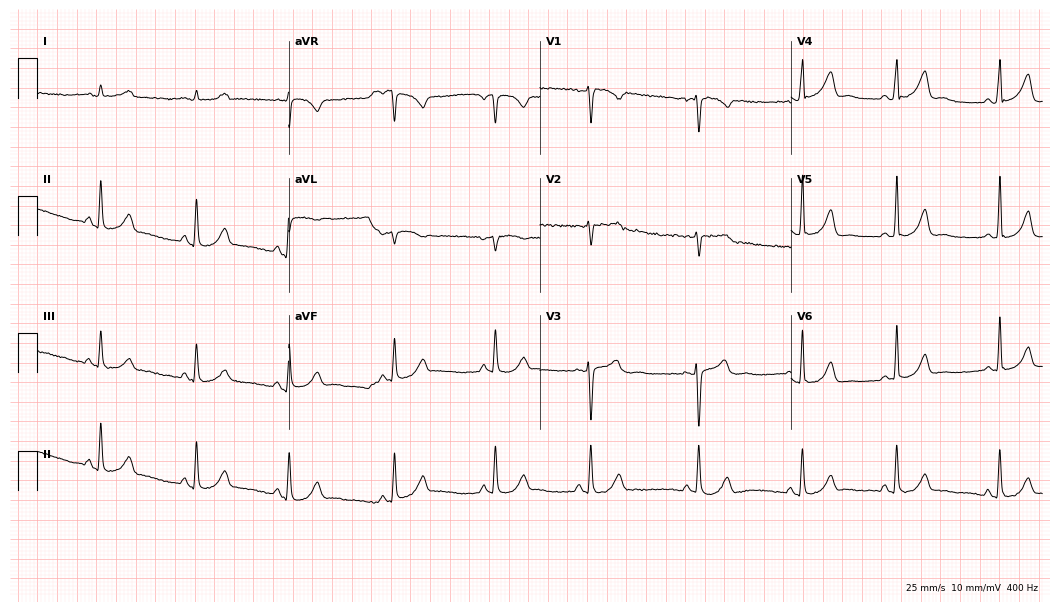
12-lead ECG from a 29-year-old female. No first-degree AV block, right bundle branch block (RBBB), left bundle branch block (LBBB), sinus bradycardia, atrial fibrillation (AF) or sinus tachycardia recorded for this tracing. Only these six findings were labelled.